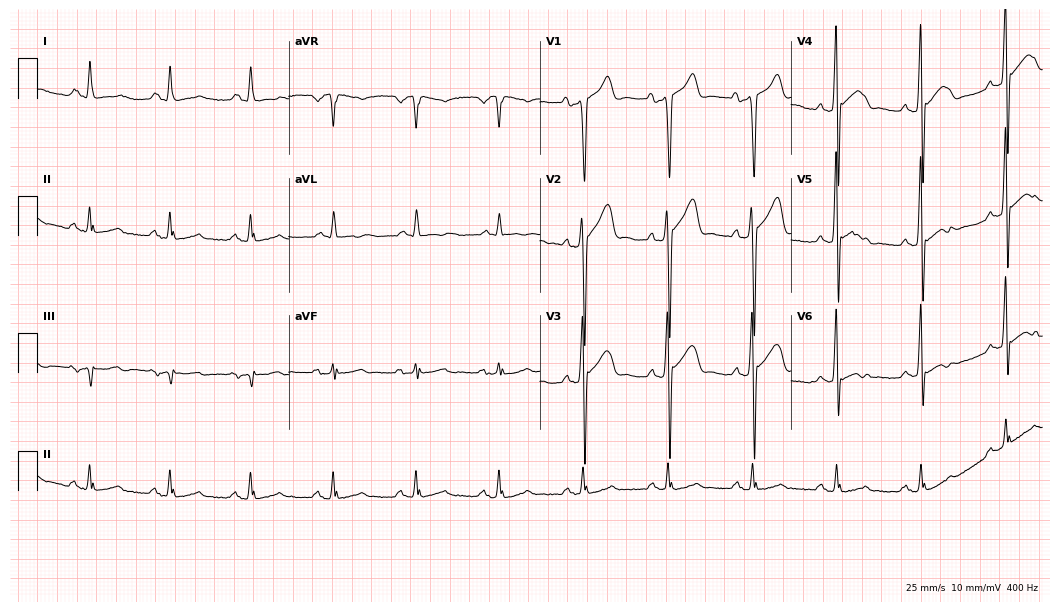
12-lead ECG from a man, 51 years old. Screened for six findings — first-degree AV block, right bundle branch block, left bundle branch block, sinus bradycardia, atrial fibrillation, sinus tachycardia — none is recorded.